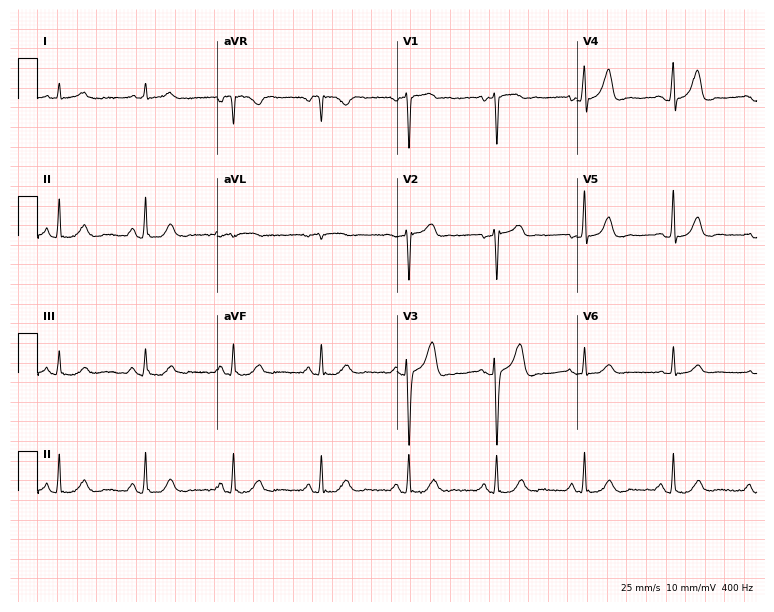
12-lead ECG from a male, 60 years old. Labelled as a normal ECG.